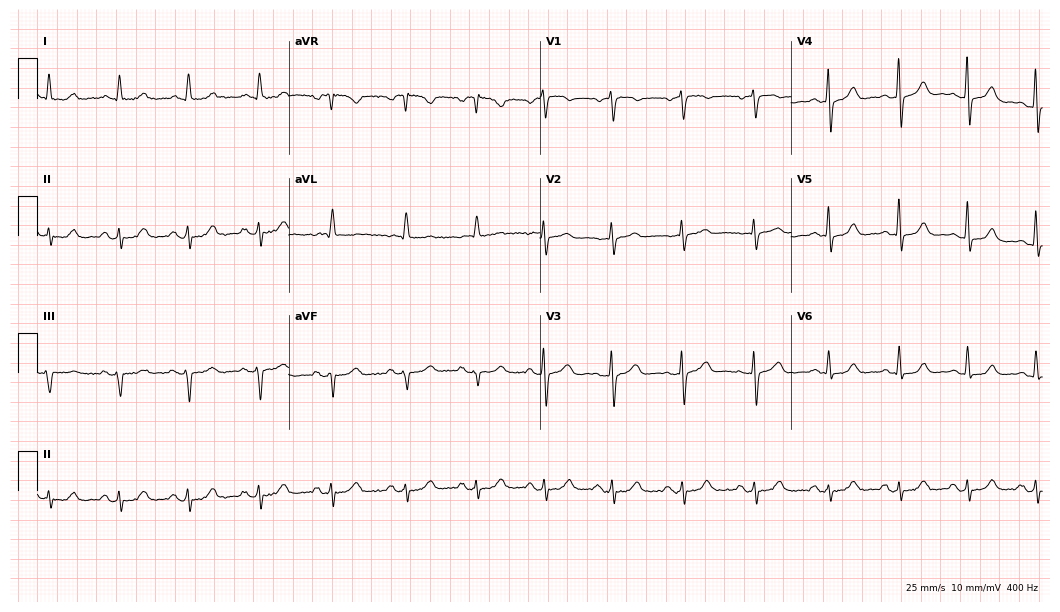
ECG (10.2-second recording at 400 Hz) — a female, 60 years old. Labelled as a normal ECG.